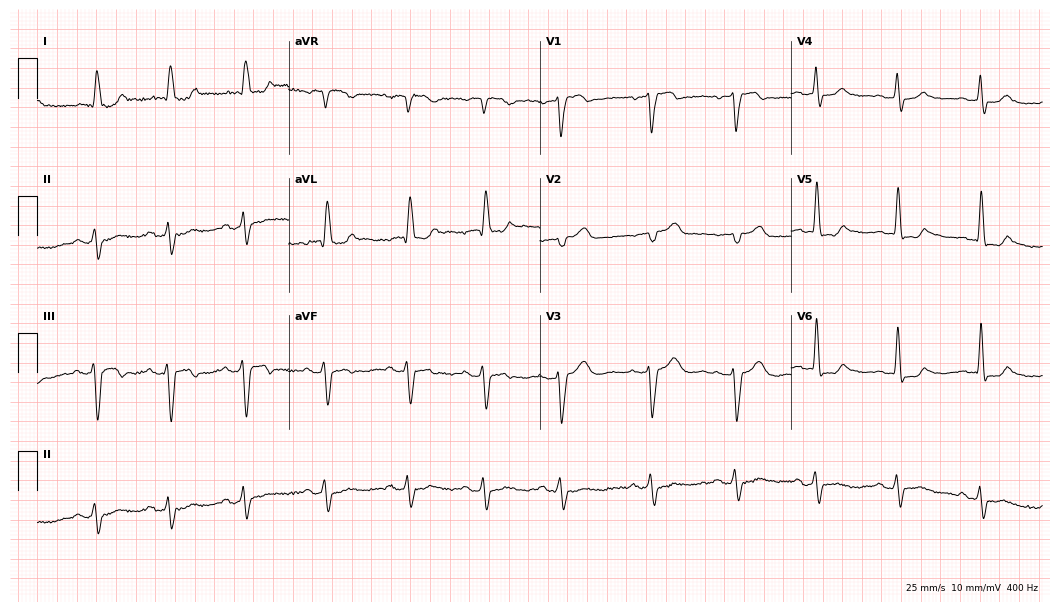
Standard 12-lead ECG recorded from a female patient, 80 years old (10.2-second recording at 400 Hz). None of these six findings is recorded: first-degree AV block, right bundle branch block, left bundle branch block, sinus bradycardia, atrial fibrillation, sinus tachycardia.